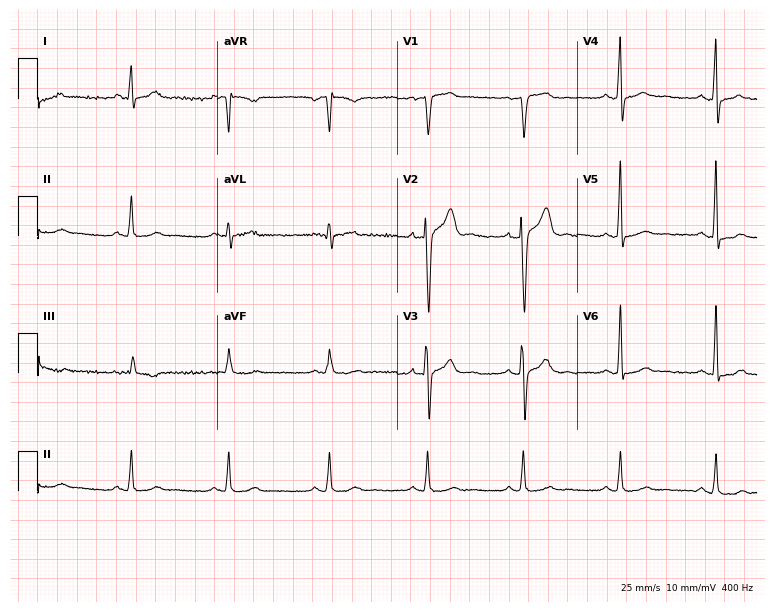
12-lead ECG from a man, 37 years old (7.3-second recording at 400 Hz). No first-degree AV block, right bundle branch block, left bundle branch block, sinus bradycardia, atrial fibrillation or sinus tachycardia recorded for this tracing.